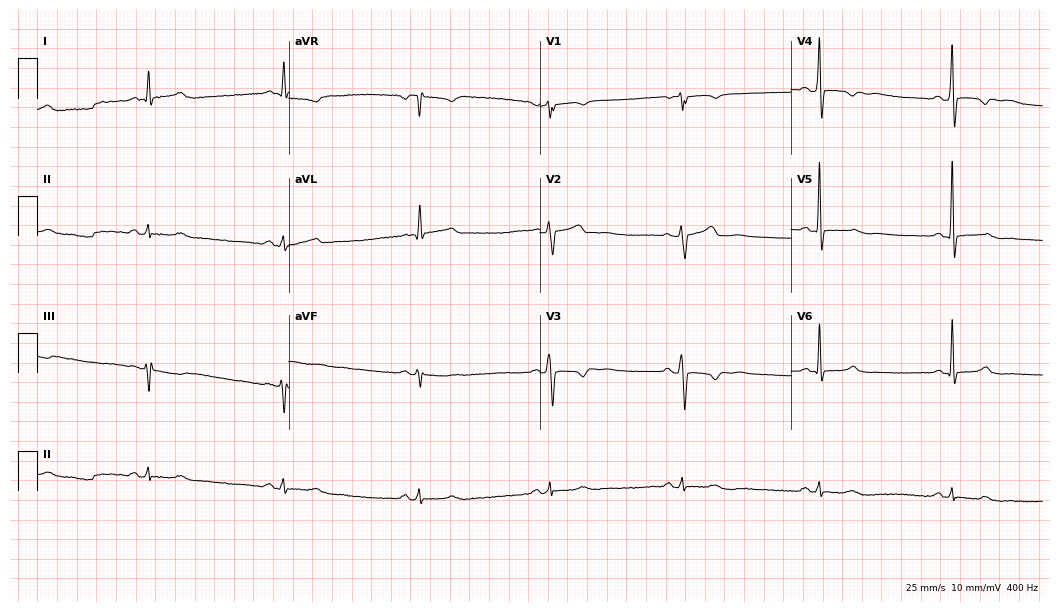
12-lead ECG from a male patient, 59 years old. Findings include sinus bradycardia (a sinus rate of 50 beats per minute or less).